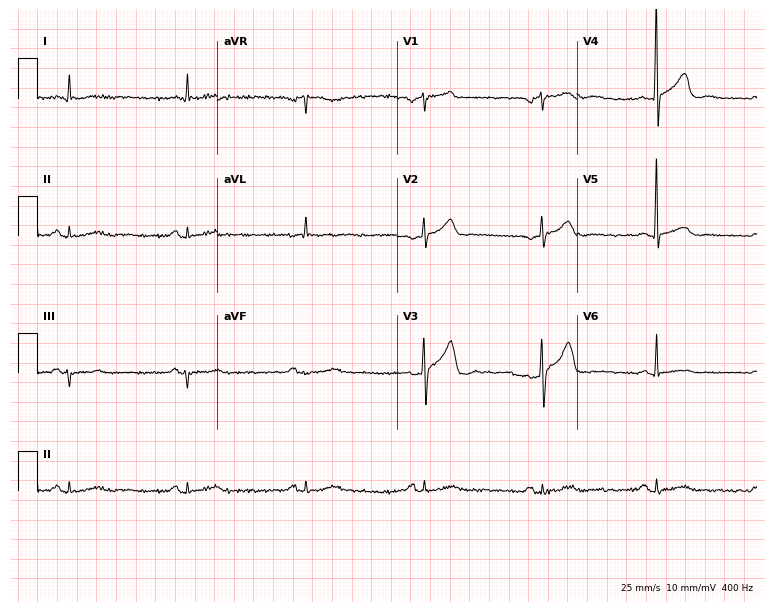
ECG (7.3-second recording at 400 Hz) — a man, 73 years old. Labelled as a normal ECG.